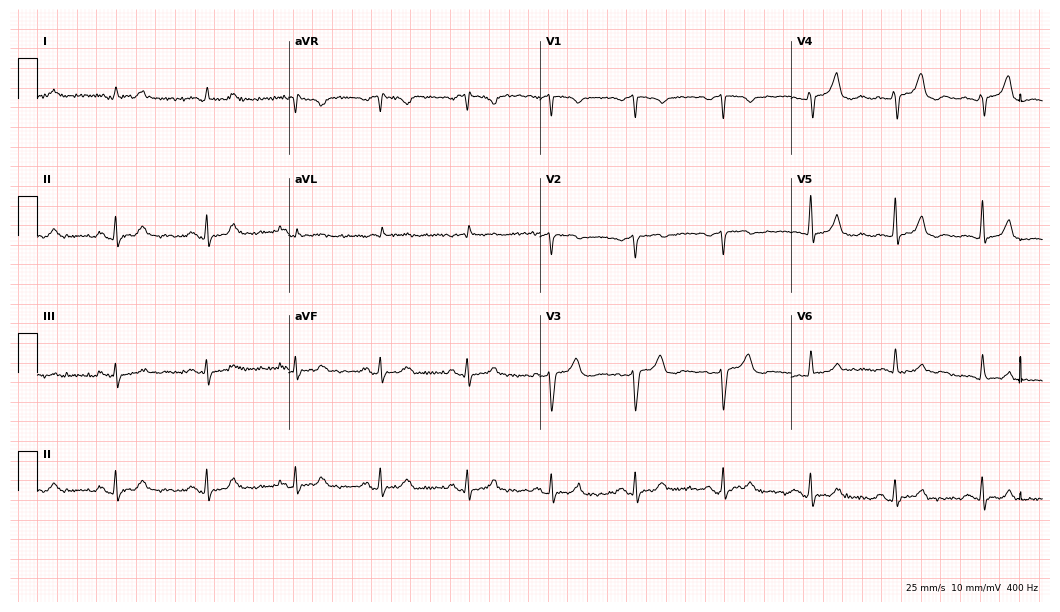
12-lead ECG from a man, 69 years old. Labelled as a normal ECG.